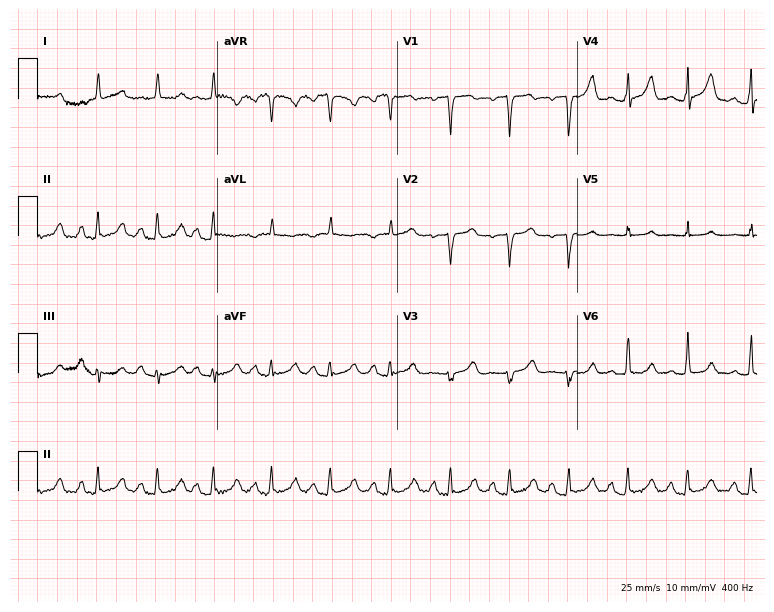
12-lead ECG from a woman, 54 years old (7.3-second recording at 400 Hz). No first-degree AV block, right bundle branch block, left bundle branch block, sinus bradycardia, atrial fibrillation or sinus tachycardia recorded for this tracing. Findings outside these six are not listed.